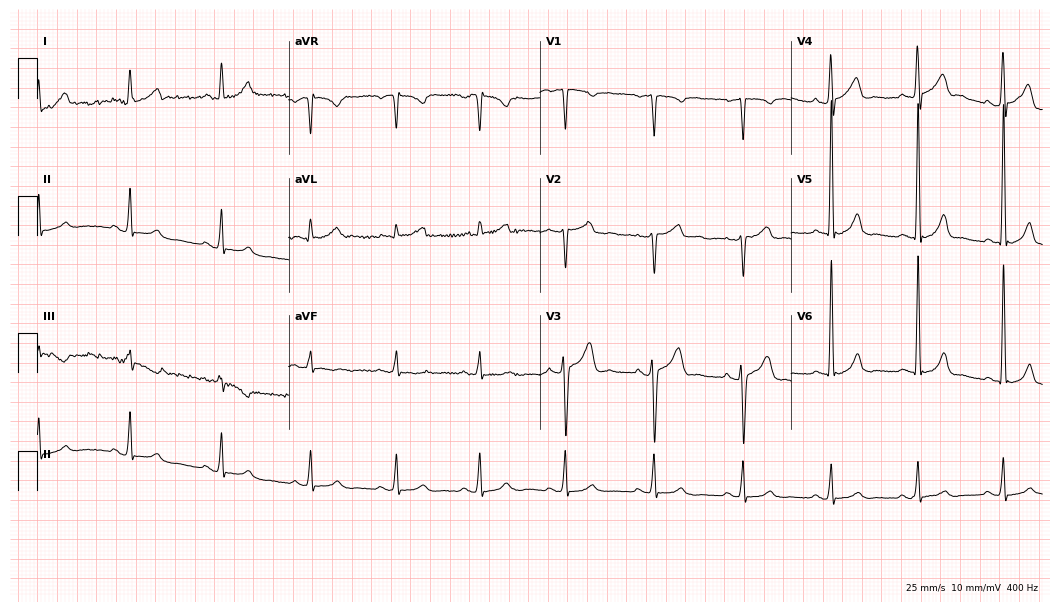
Standard 12-lead ECG recorded from a male patient, 50 years old. Read as a normal ECG.